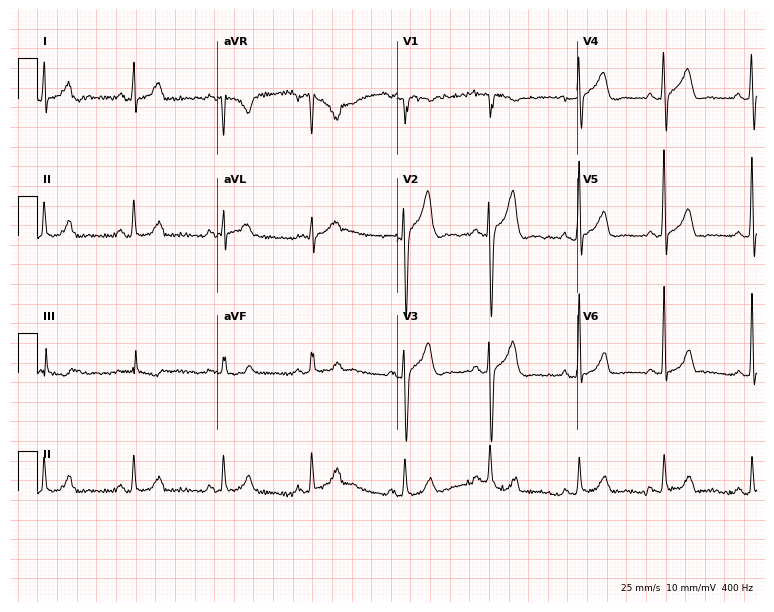
Resting 12-lead electrocardiogram (7.3-second recording at 400 Hz). Patient: a 23-year-old male. Read as a normal ECG.